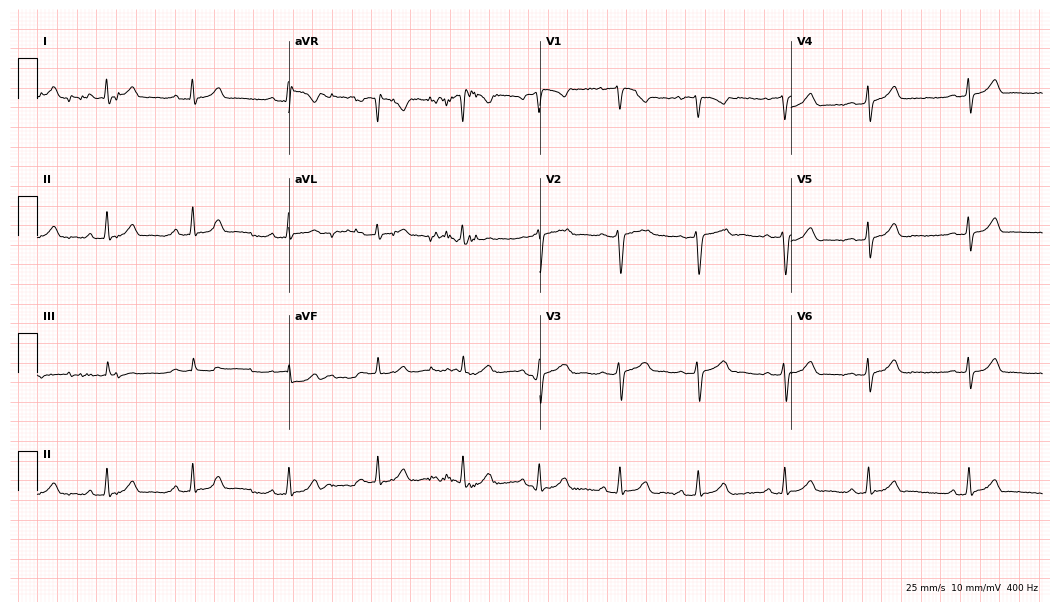
ECG (10.2-second recording at 400 Hz) — a woman, 17 years old. Screened for six findings — first-degree AV block, right bundle branch block, left bundle branch block, sinus bradycardia, atrial fibrillation, sinus tachycardia — none is recorded. Other findings, if any, are not listed.